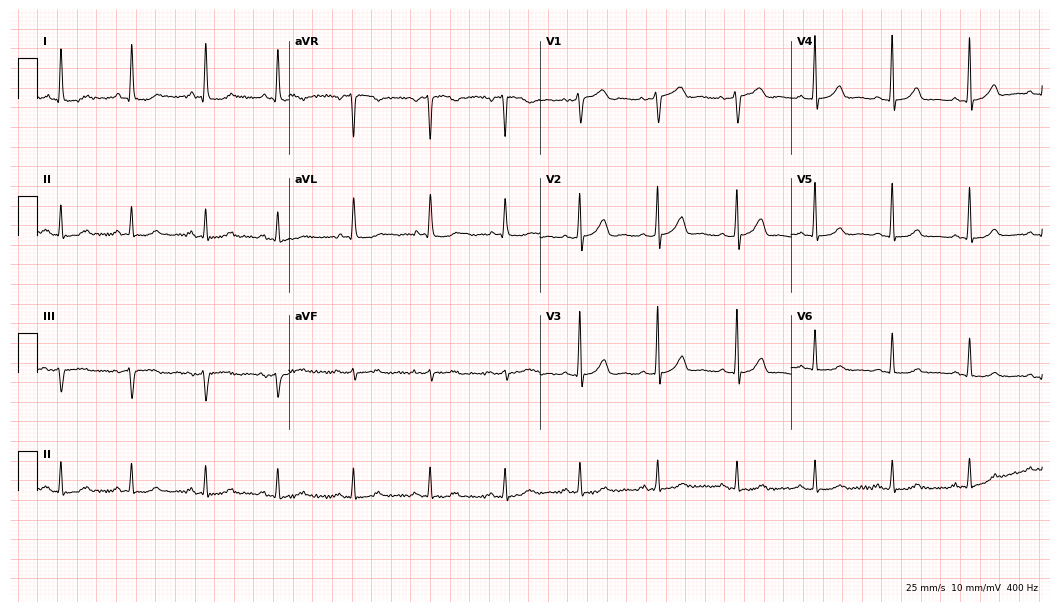
12-lead ECG (10.2-second recording at 400 Hz) from a female patient, 51 years old. Labelled as a normal ECG.